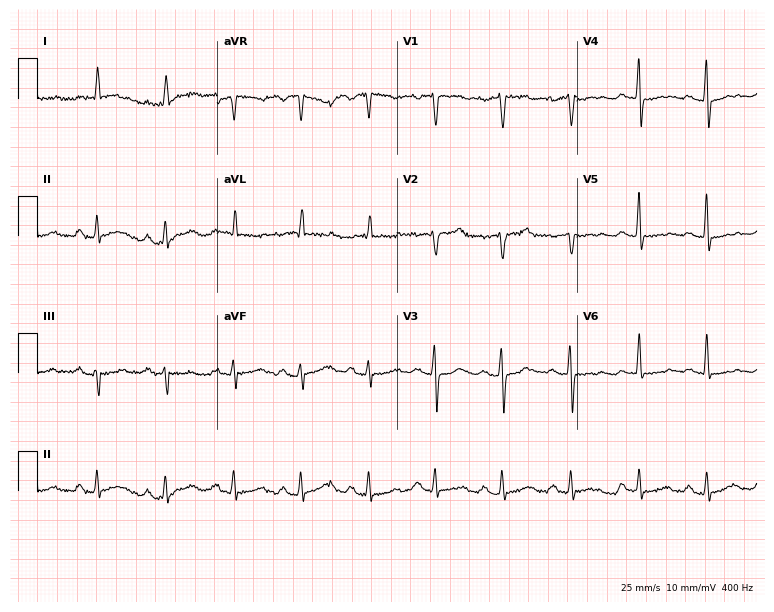
Electrocardiogram, a 78-year-old female patient. Overall reading on record: normal ECG.